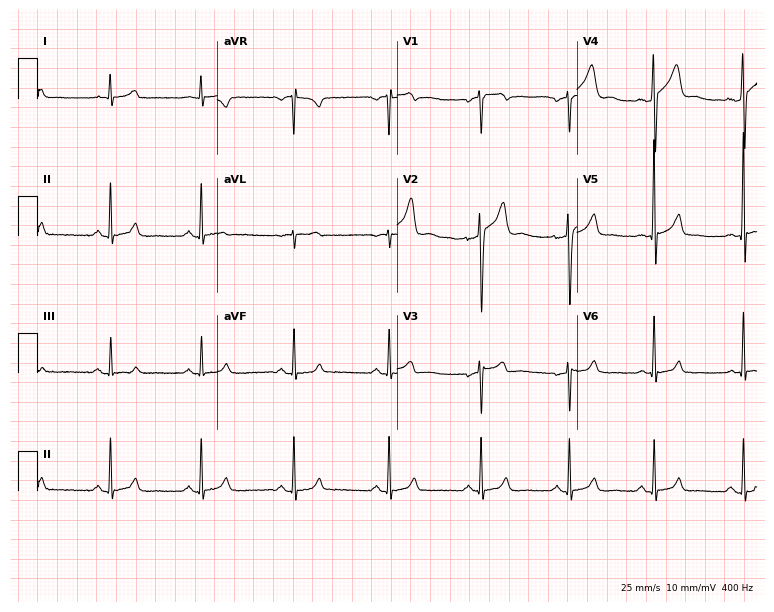
12-lead ECG from a male patient, 23 years old. No first-degree AV block, right bundle branch block, left bundle branch block, sinus bradycardia, atrial fibrillation or sinus tachycardia recorded for this tracing. Only these six findings were labelled.